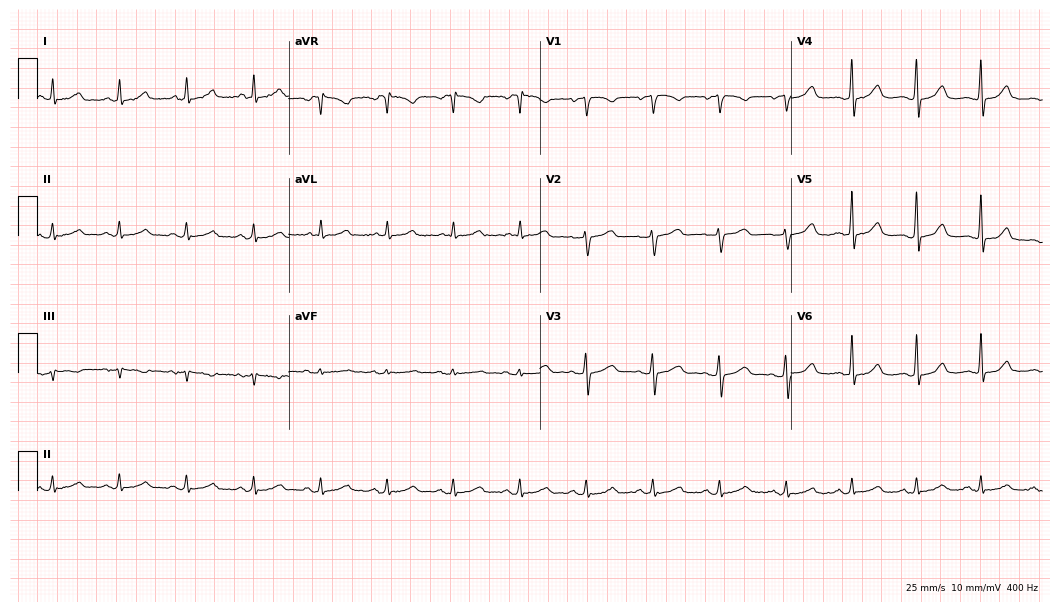
Standard 12-lead ECG recorded from a female, 49 years old (10.2-second recording at 400 Hz). Read as a normal ECG.